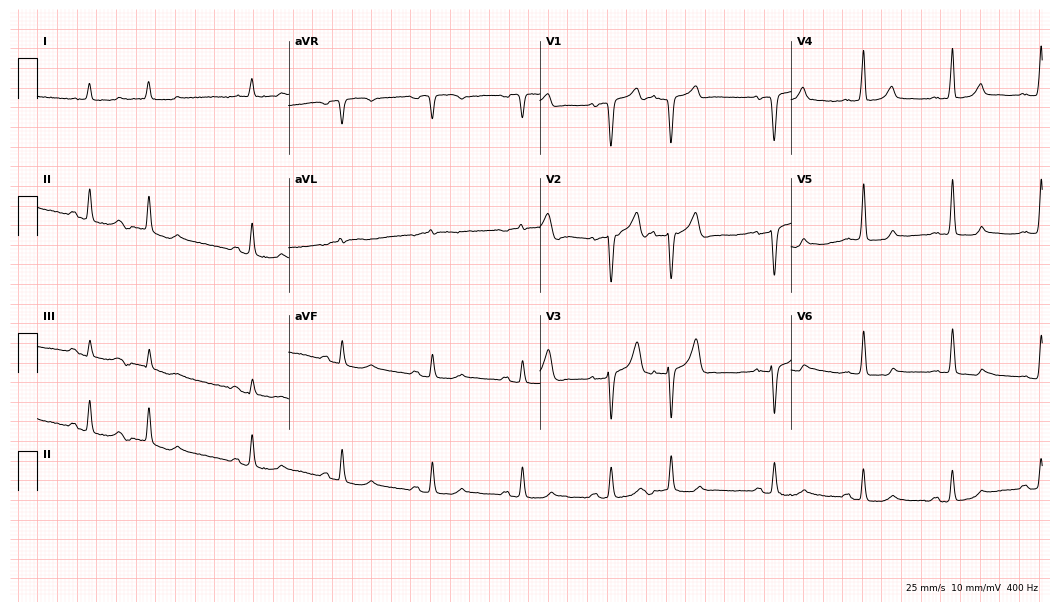
12-lead ECG from a 77-year-old man. Screened for six findings — first-degree AV block, right bundle branch block, left bundle branch block, sinus bradycardia, atrial fibrillation, sinus tachycardia — none is recorded. Findings outside these six are not listed.